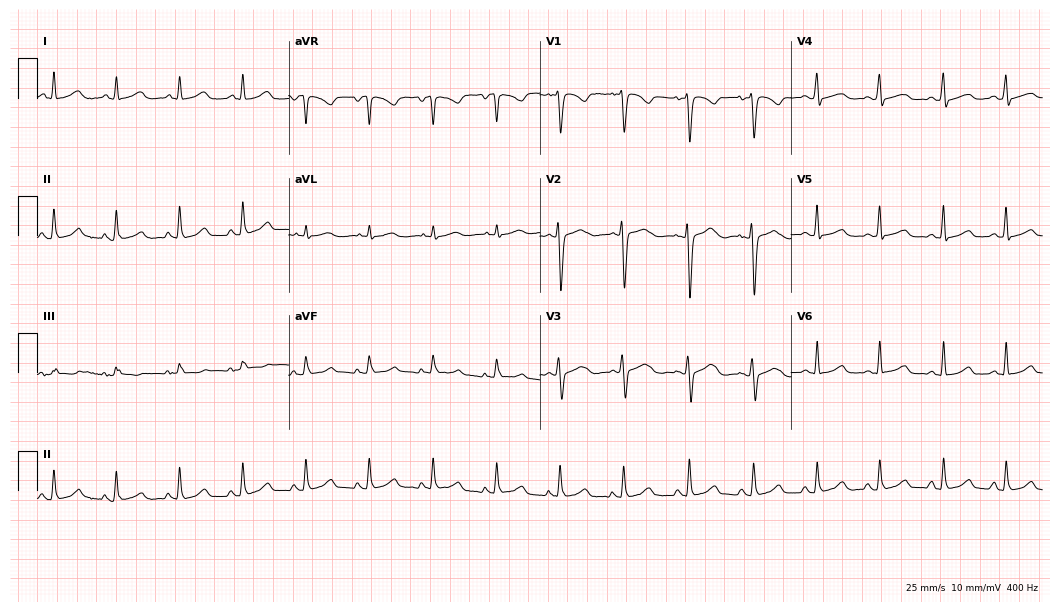
12-lead ECG from a female patient, 37 years old. No first-degree AV block, right bundle branch block, left bundle branch block, sinus bradycardia, atrial fibrillation or sinus tachycardia recorded for this tracing.